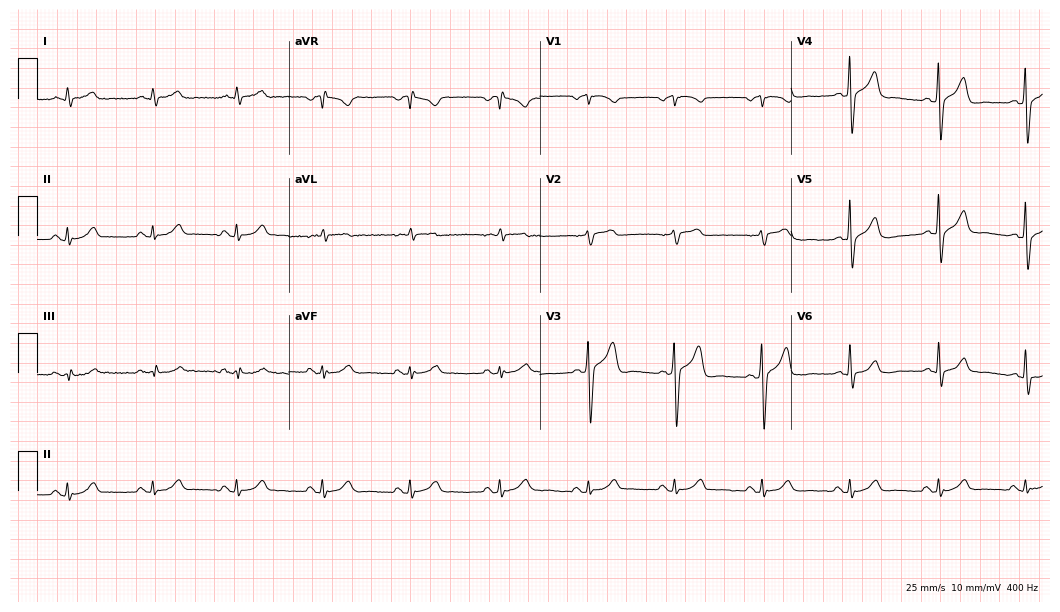
Electrocardiogram (10.2-second recording at 400 Hz), a 56-year-old male patient. Of the six screened findings (first-degree AV block, right bundle branch block, left bundle branch block, sinus bradycardia, atrial fibrillation, sinus tachycardia), none is recorded.